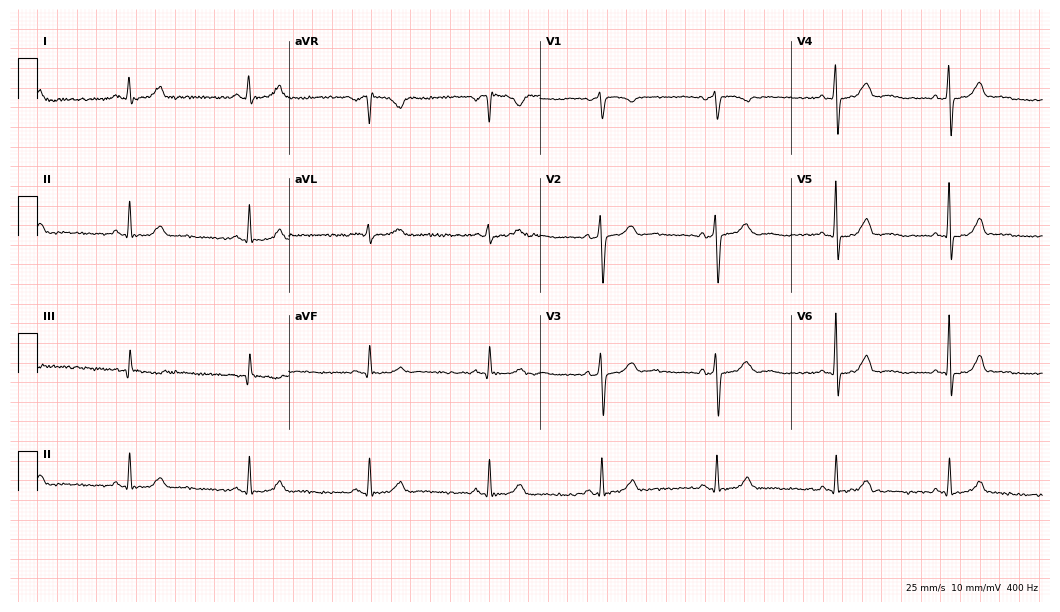
Electrocardiogram (10.2-second recording at 400 Hz), a 51-year-old woman. Interpretation includes sinus bradycardia (a sinus rate of 50 beats per minute or less).